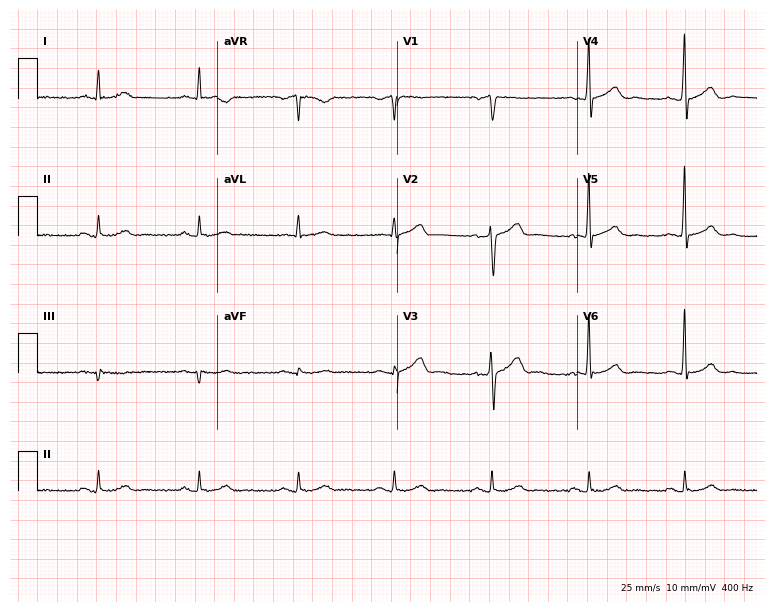
12-lead ECG (7.3-second recording at 400 Hz) from a male patient, 50 years old. Screened for six findings — first-degree AV block, right bundle branch block, left bundle branch block, sinus bradycardia, atrial fibrillation, sinus tachycardia — none is recorded. Findings outside these six are not listed.